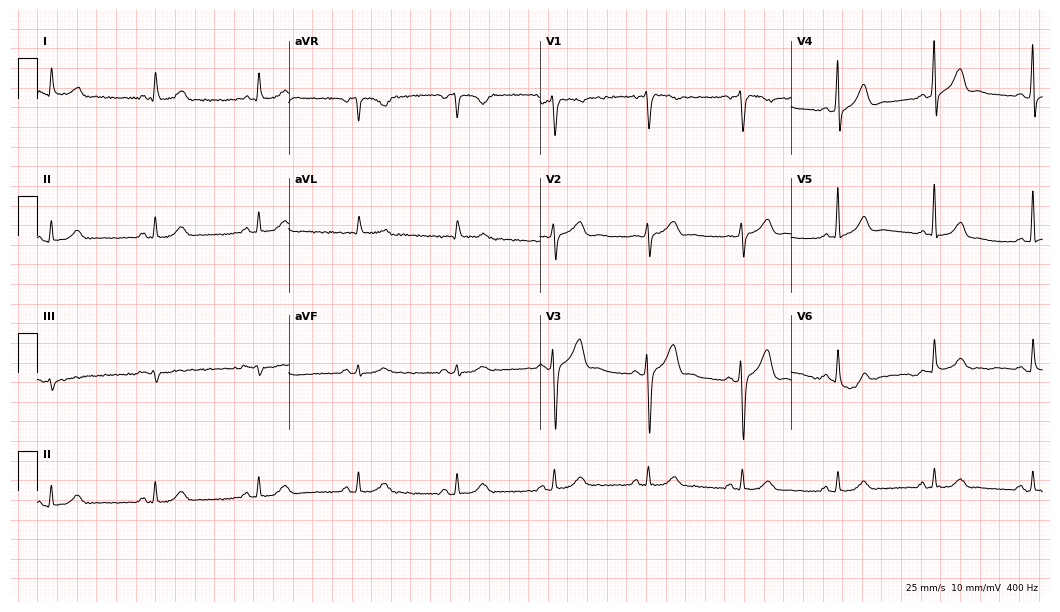
12-lead ECG from a male patient, 49 years old. Labelled as a normal ECG.